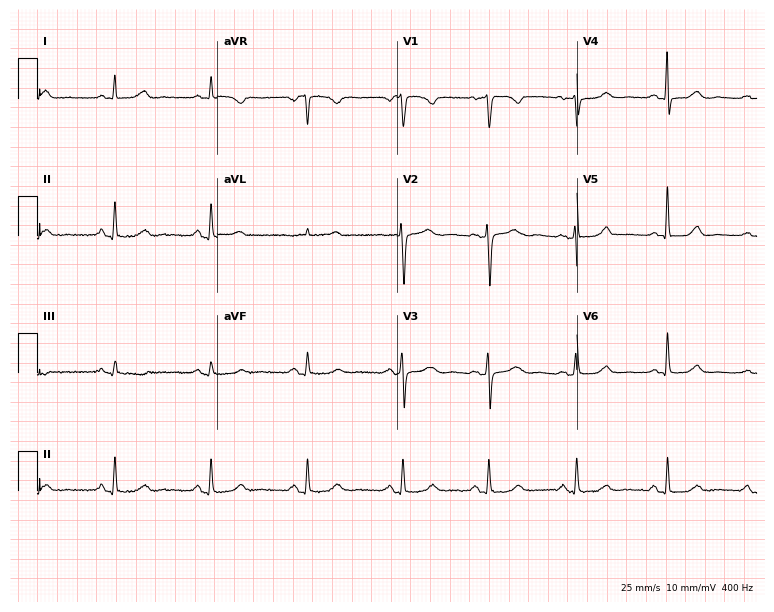
Resting 12-lead electrocardiogram. Patient: a female, 54 years old. Read as a normal ECG.